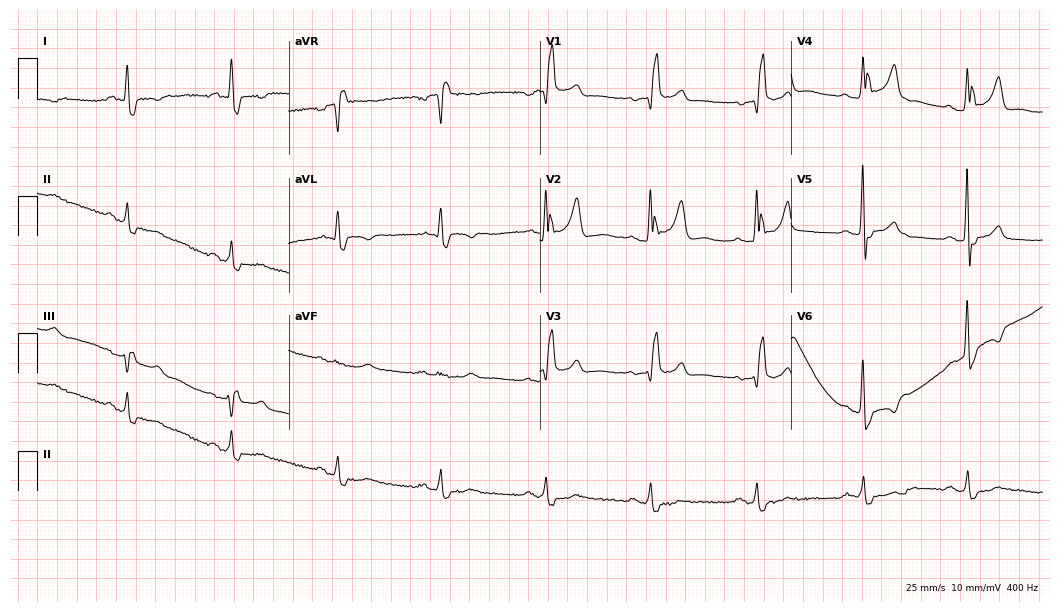
12-lead ECG from a man, 51 years old. No first-degree AV block, right bundle branch block, left bundle branch block, sinus bradycardia, atrial fibrillation or sinus tachycardia recorded for this tracing. Only these six findings were labelled.